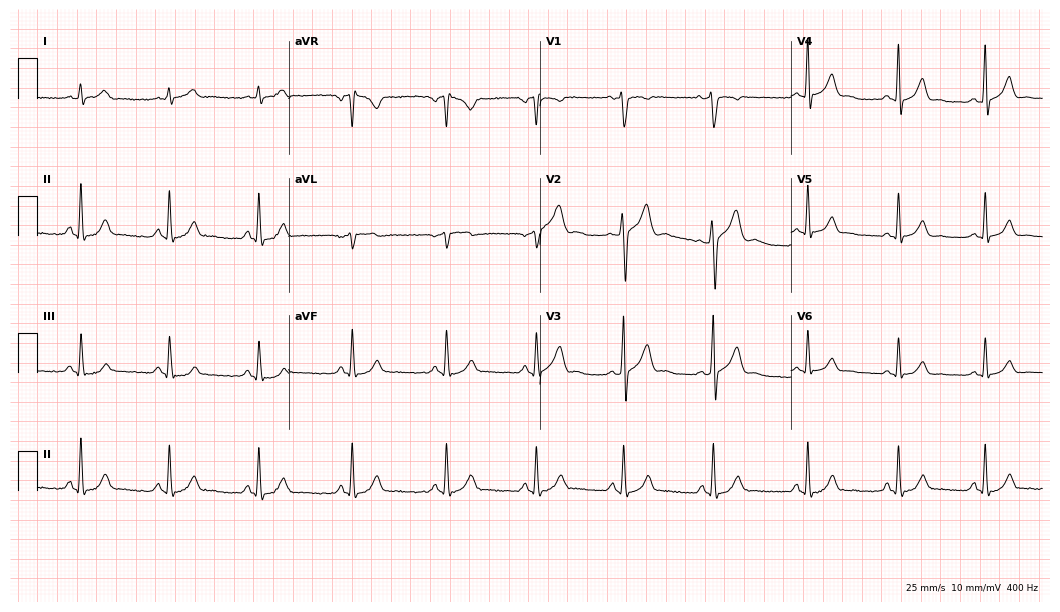
12-lead ECG (10.2-second recording at 400 Hz) from a 33-year-old male patient. Labelled as a normal ECG.